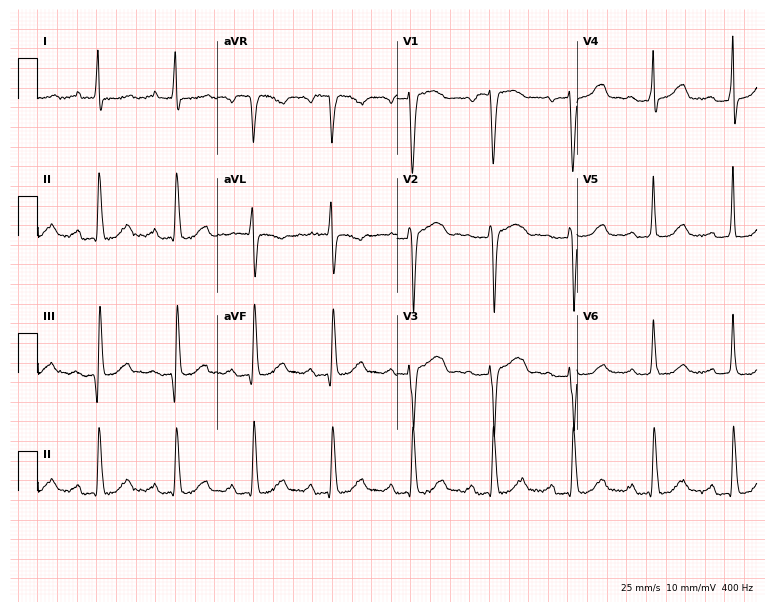
Electrocardiogram, a woman, 57 years old. Interpretation includes first-degree AV block.